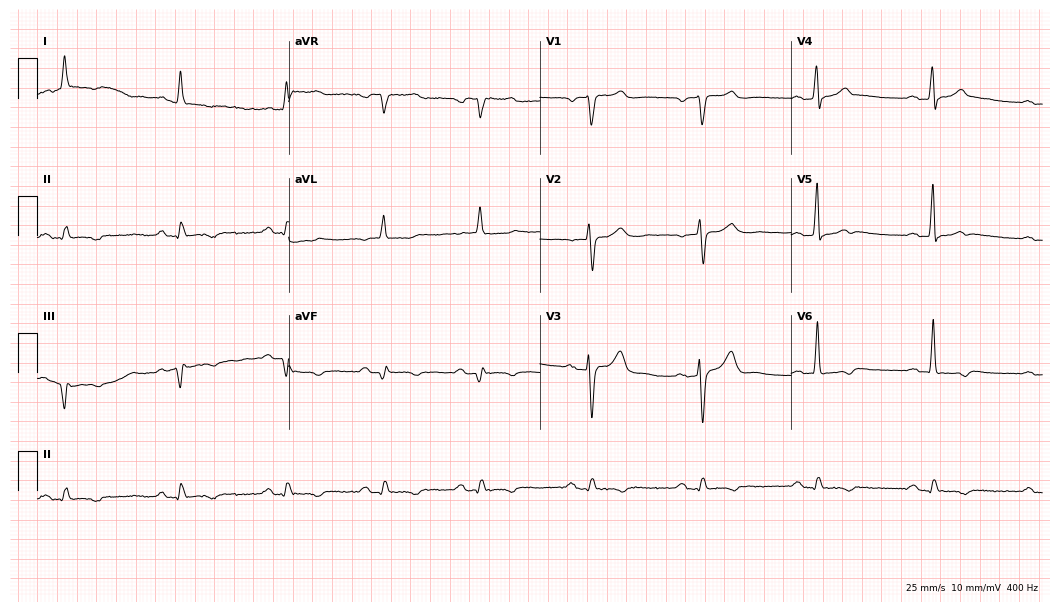
Standard 12-lead ECG recorded from a male patient, 59 years old. None of these six findings is recorded: first-degree AV block, right bundle branch block (RBBB), left bundle branch block (LBBB), sinus bradycardia, atrial fibrillation (AF), sinus tachycardia. Only these six findings were labelled.